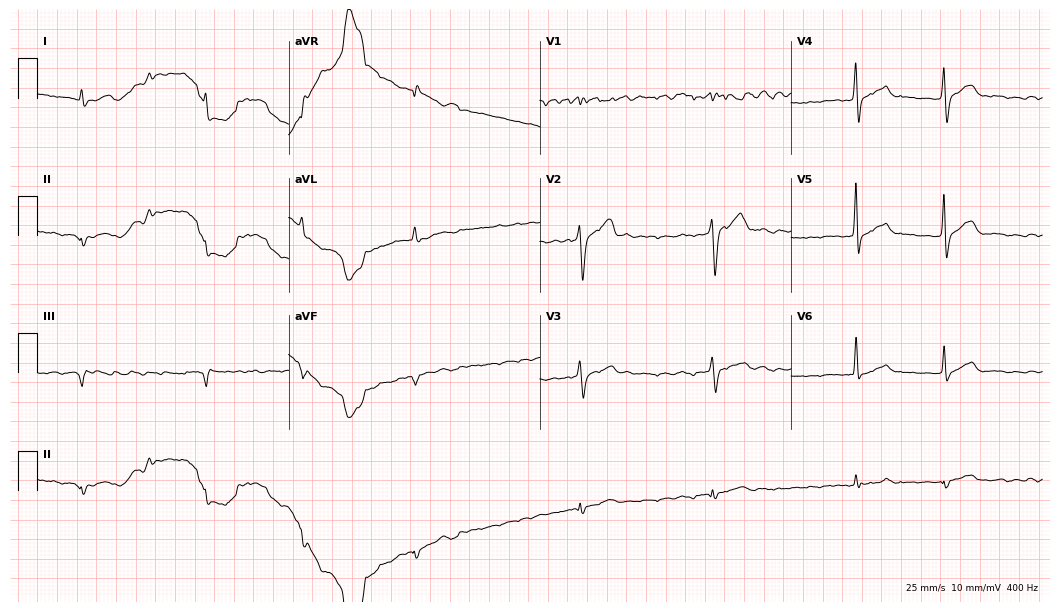
Standard 12-lead ECG recorded from a man, 77 years old (10.2-second recording at 400 Hz). None of these six findings is recorded: first-degree AV block, right bundle branch block (RBBB), left bundle branch block (LBBB), sinus bradycardia, atrial fibrillation (AF), sinus tachycardia.